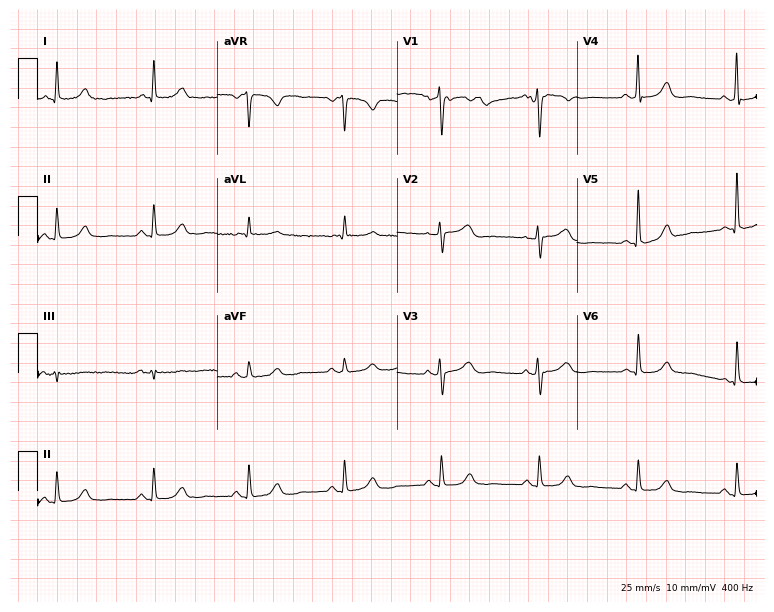
ECG — a female patient, 73 years old. Screened for six findings — first-degree AV block, right bundle branch block (RBBB), left bundle branch block (LBBB), sinus bradycardia, atrial fibrillation (AF), sinus tachycardia — none is recorded. Only these six findings were labelled.